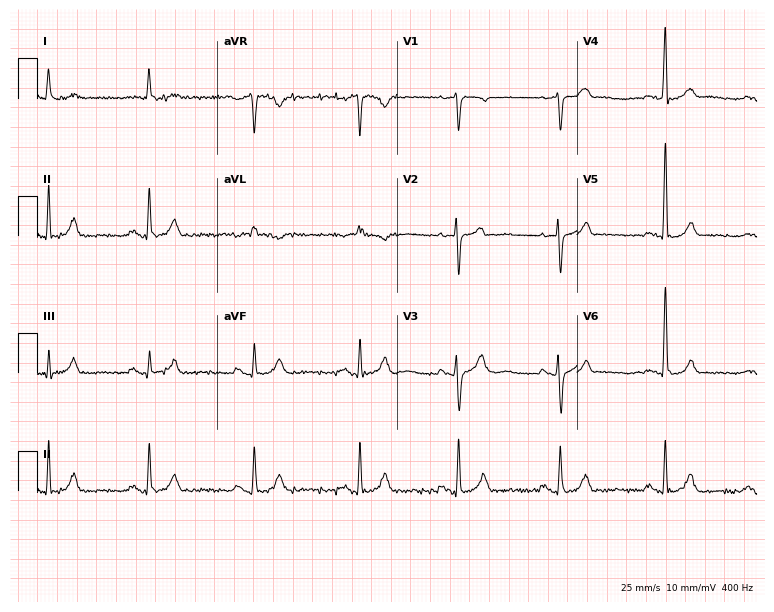
12-lead ECG from a woman, 73 years old (7.3-second recording at 400 Hz). No first-degree AV block, right bundle branch block, left bundle branch block, sinus bradycardia, atrial fibrillation or sinus tachycardia recorded for this tracing.